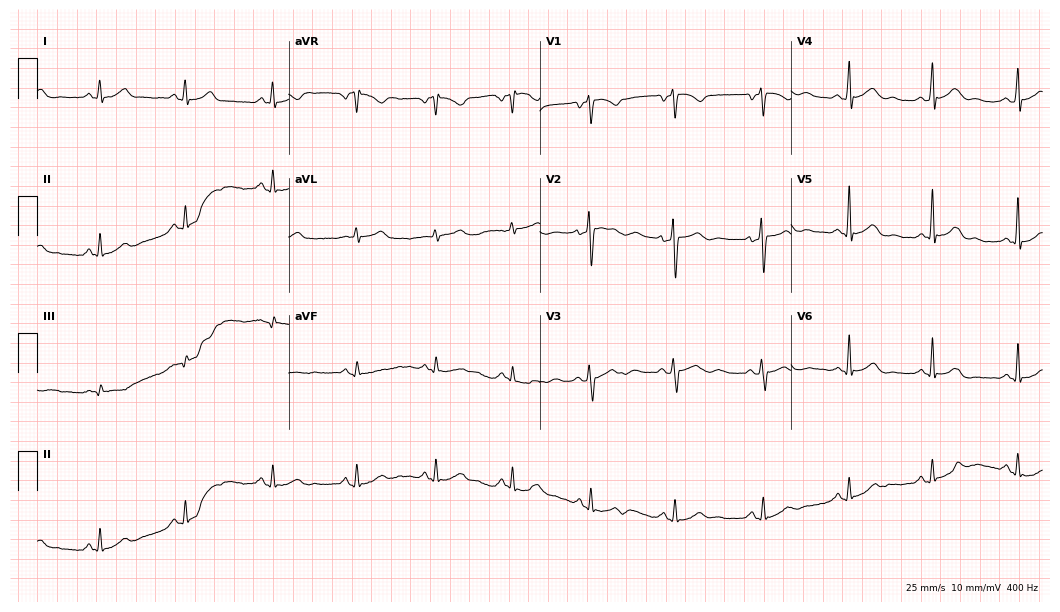
Resting 12-lead electrocardiogram. Patient: a 36-year-old male. Read as a normal ECG.